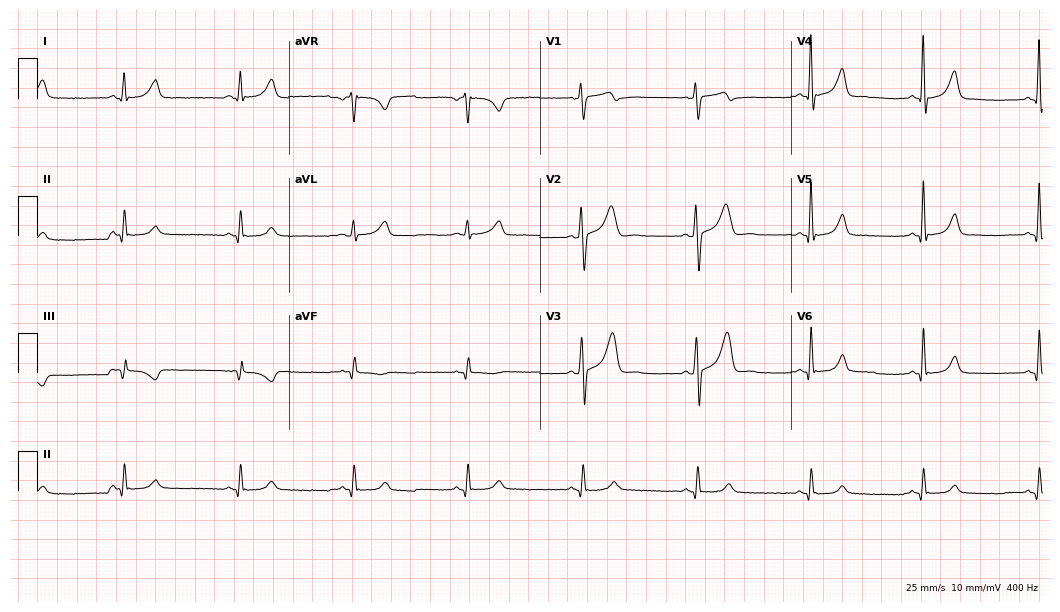
Standard 12-lead ECG recorded from a 63-year-old male patient (10.2-second recording at 400 Hz). Read as a normal ECG.